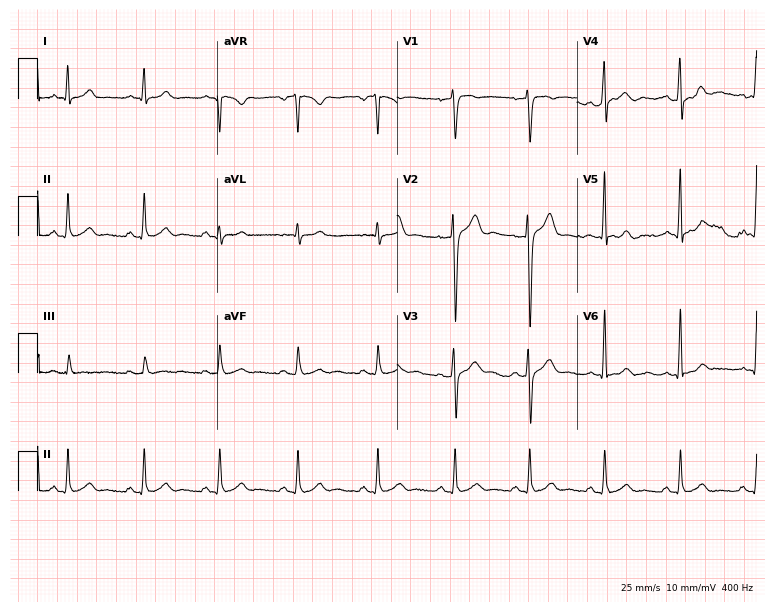
Standard 12-lead ECG recorded from a man, 30 years old. Read as a normal ECG.